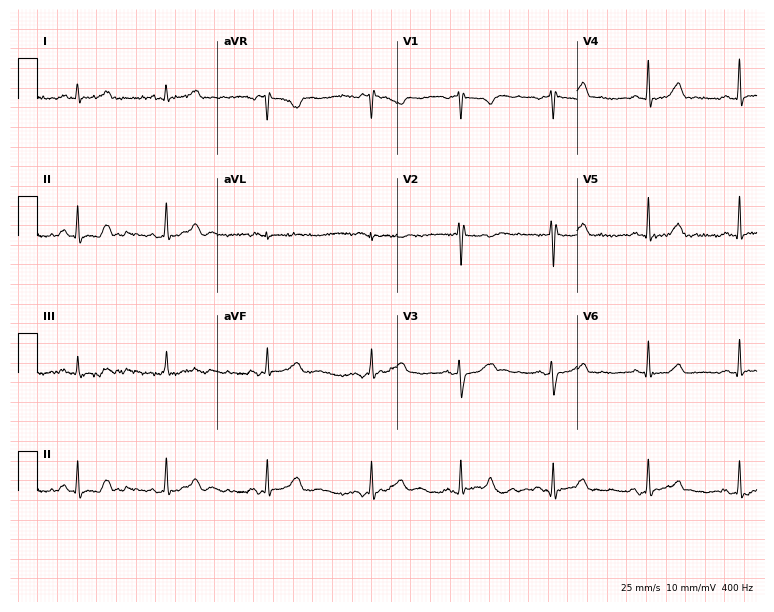
ECG (7.3-second recording at 400 Hz) — a female, 22 years old. Labelled as a normal ECG.